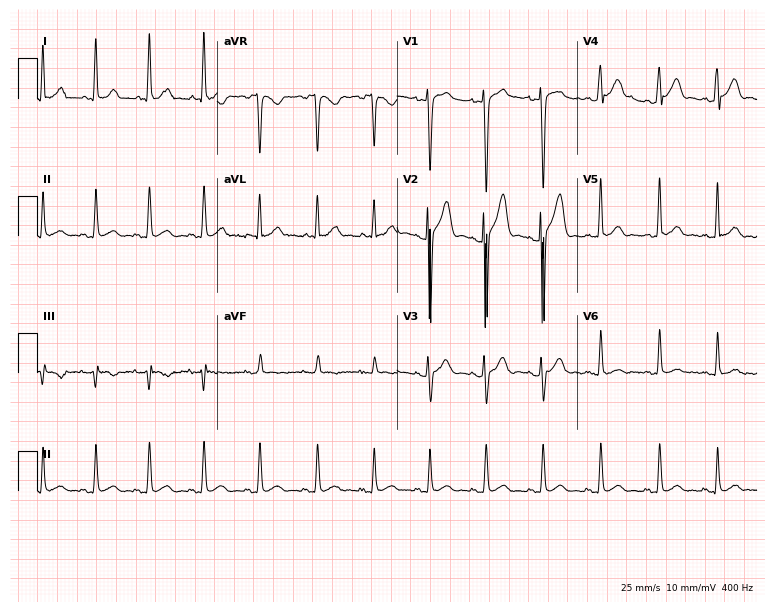
Electrocardiogram, a 25-year-old male. Overall reading on record: normal ECG.